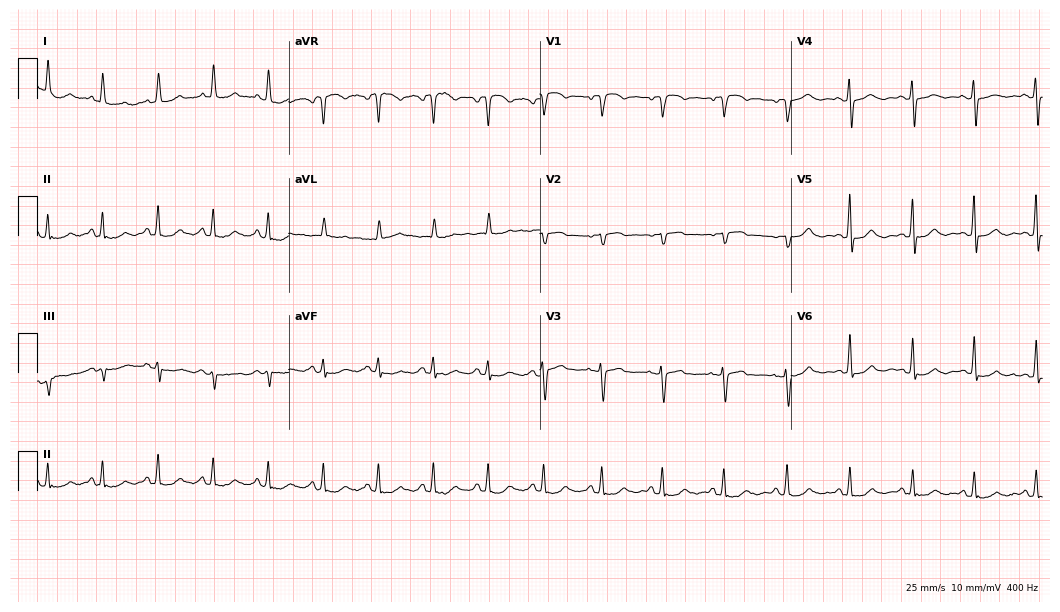
Resting 12-lead electrocardiogram (10.2-second recording at 400 Hz). Patient: a woman, 67 years old. None of these six findings is recorded: first-degree AV block, right bundle branch block, left bundle branch block, sinus bradycardia, atrial fibrillation, sinus tachycardia. Other findings, if any, are not listed.